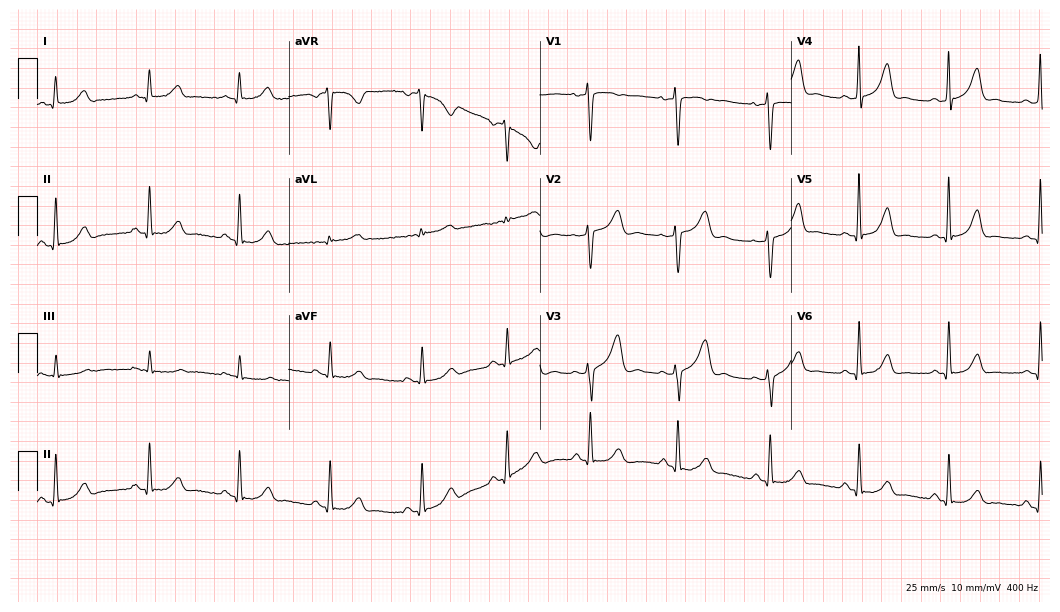
Electrocardiogram, a female patient, 29 years old. Overall reading on record: normal ECG.